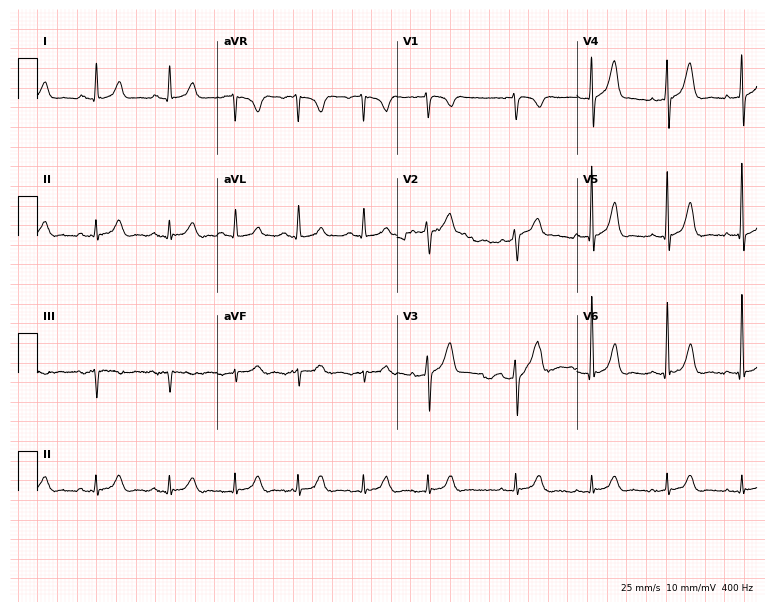
12-lead ECG from a man, 64 years old (7.3-second recording at 400 Hz). Recorded interpretation: within normal limits.